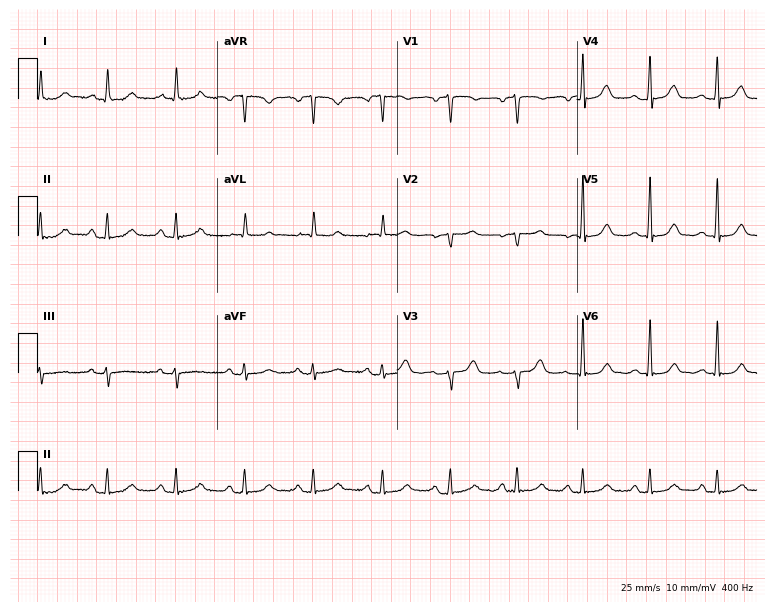
12-lead ECG from a female patient, 72 years old. Screened for six findings — first-degree AV block, right bundle branch block (RBBB), left bundle branch block (LBBB), sinus bradycardia, atrial fibrillation (AF), sinus tachycardia — none is recorded.